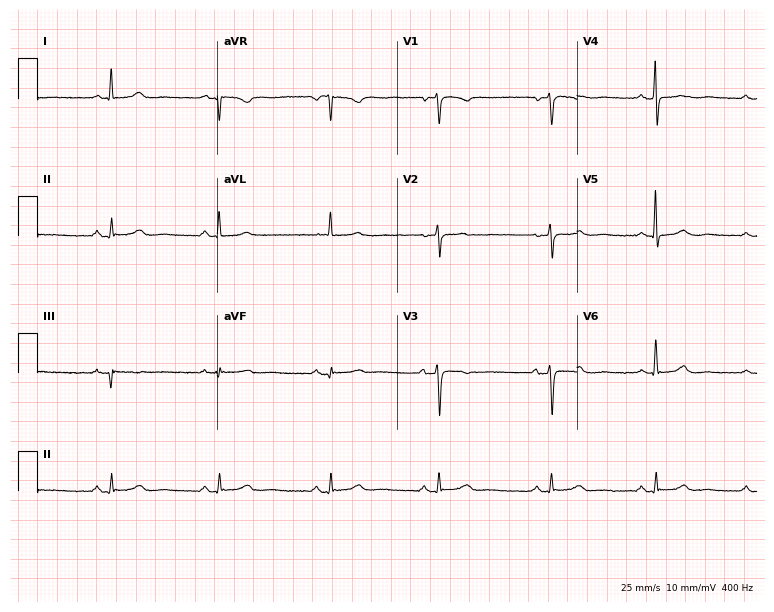
Standard 12-lead ECG recorded from a 60-year-old female (7.3-second recording at 400 Hz). Read as a normal ECG.